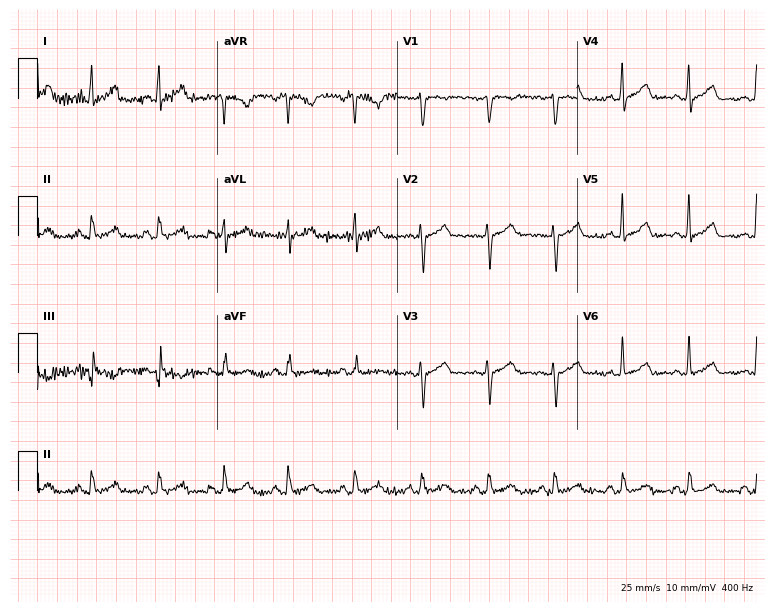
12-lead ECG from a woman, 35 years old. Labelled as a normal ECG.